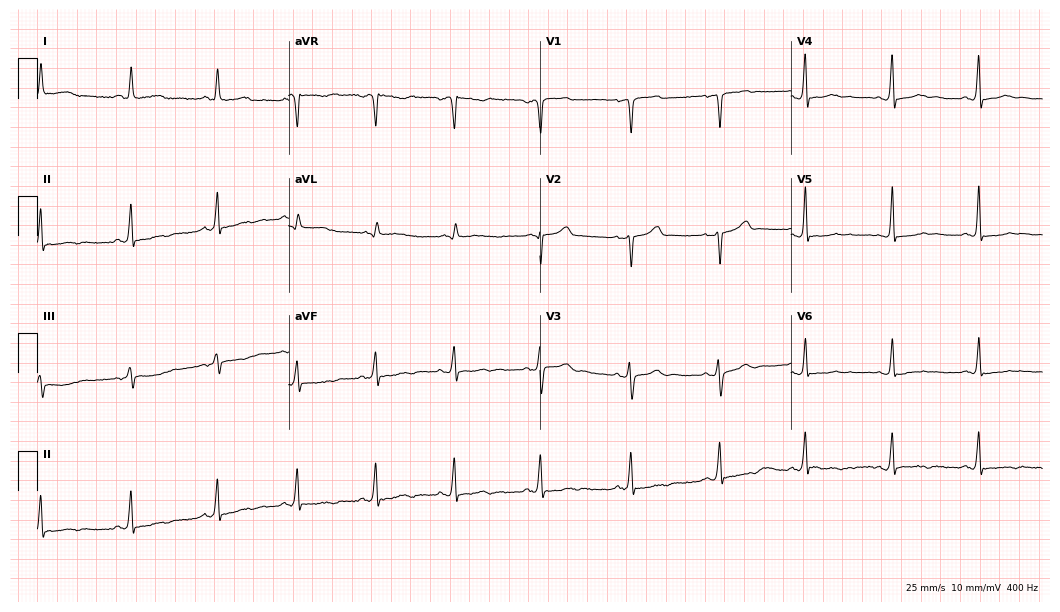
Resting 12-lead electrocardiogram (10.2-second recording at 400 Hz). Patient: a female, 37 years old. None of these six findings is recorded: first-degree AV block, right bundle branch block, left bundle branch block, sinus bradycardia, atrial fibrillation, sinus tachycardia.